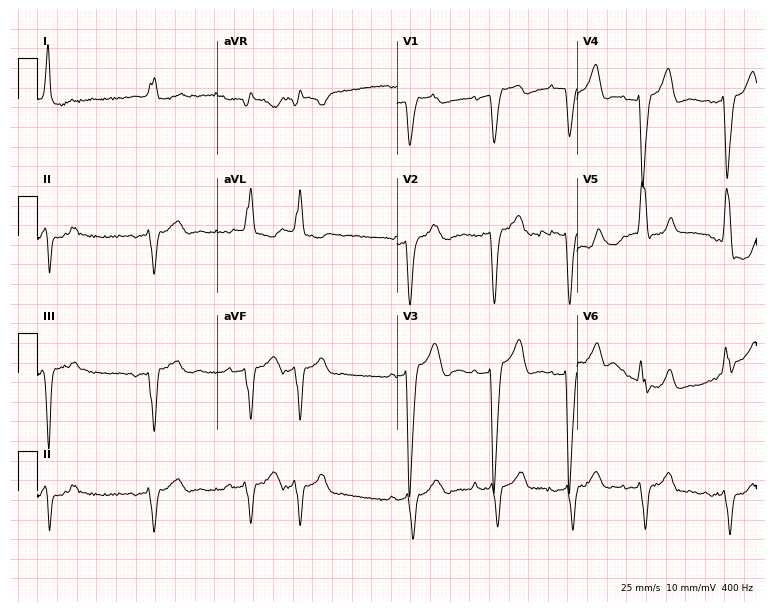
12-lead ECG (7.3-second recording at 400 Hz) from a female patient, 70 years old. Findings include atrial fibrillation (AF).